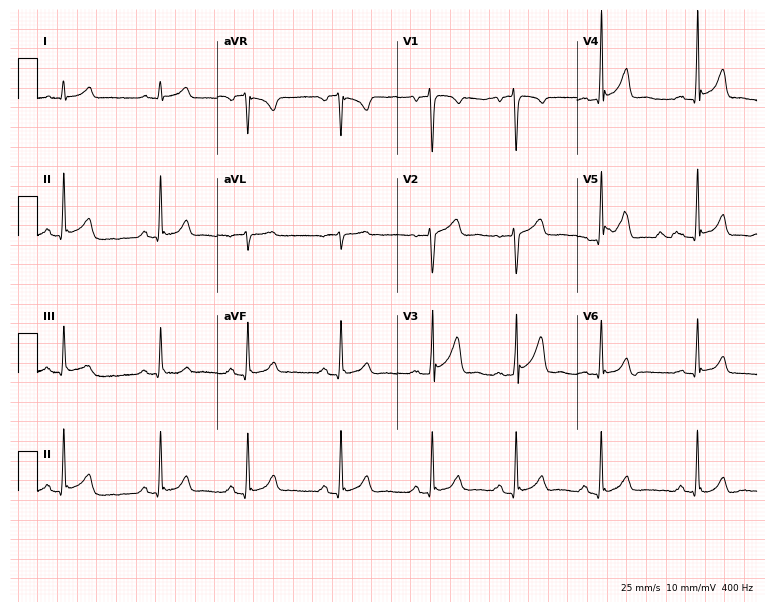
Standard 12-lead ECG recorded from a man, 24 years old. None of these six findings is recorded: first-degree AV block, right bundle branch block, left bundle branch block, sinus bradycardia, atrial fibrillation, sinus tachycardia. Only these six findings were labelled.